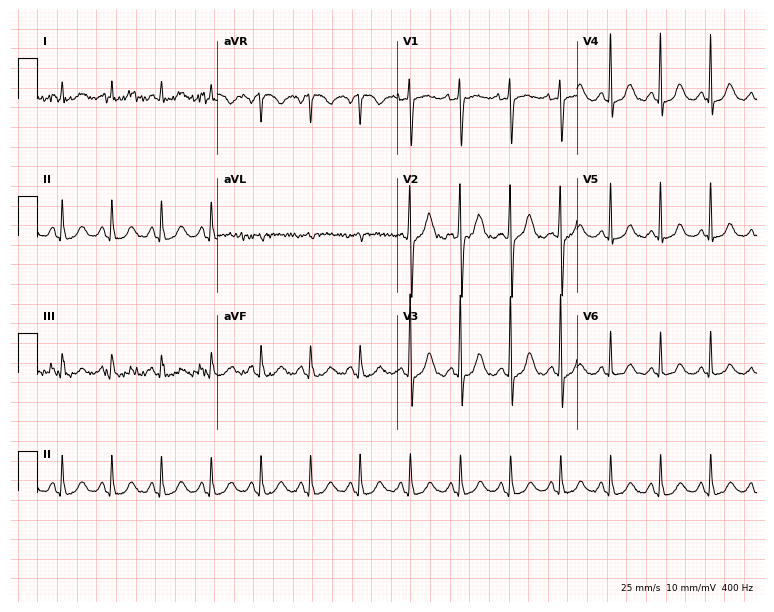
Resting 12-lead electrocardiogram (7.3-second recording at 400 Hz). Patient: a 75-year-old female. The tracing shows sinus tachycardia (a sinus rate of 100 beats per minute or more).